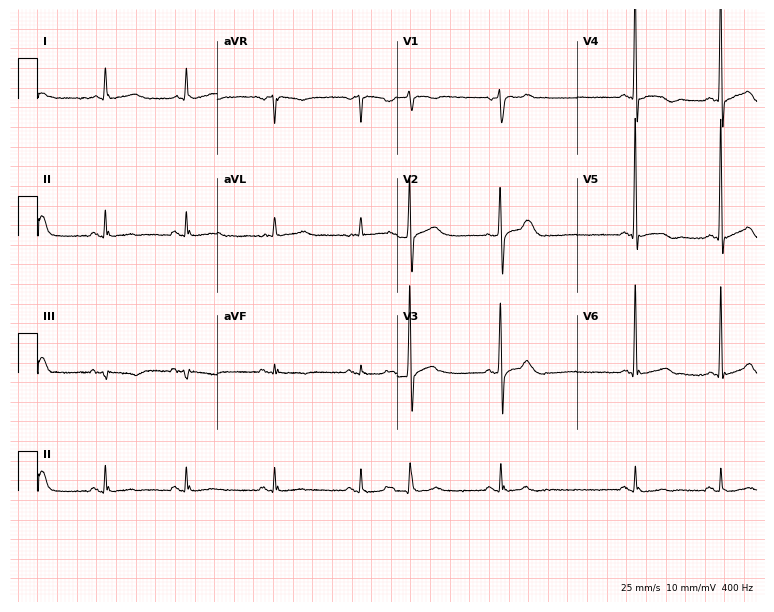
ECG — an 82-year-old male patient. Screened for six findings — first-degree AV block, right bundle branch block, left bundle branch block, sinus bradycardia, atrial fibrillation, sinus tachycardia — none is recorded.